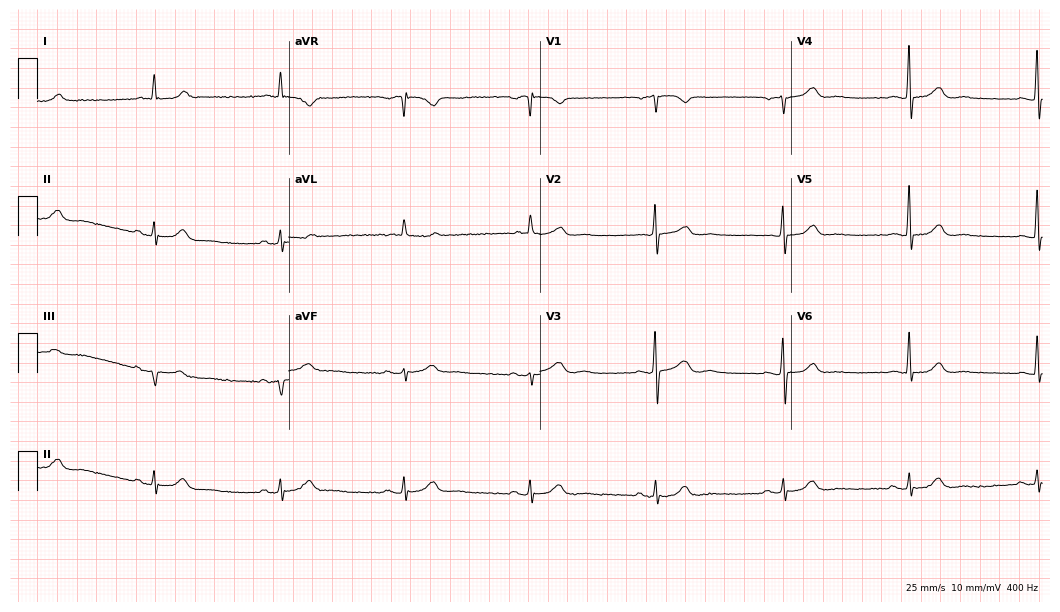
Standard 12-lead ECG recorded from a woman, 83 years old. The tracing shows sinus bradycardia (a sinus rate of 50 beats per minute or less).